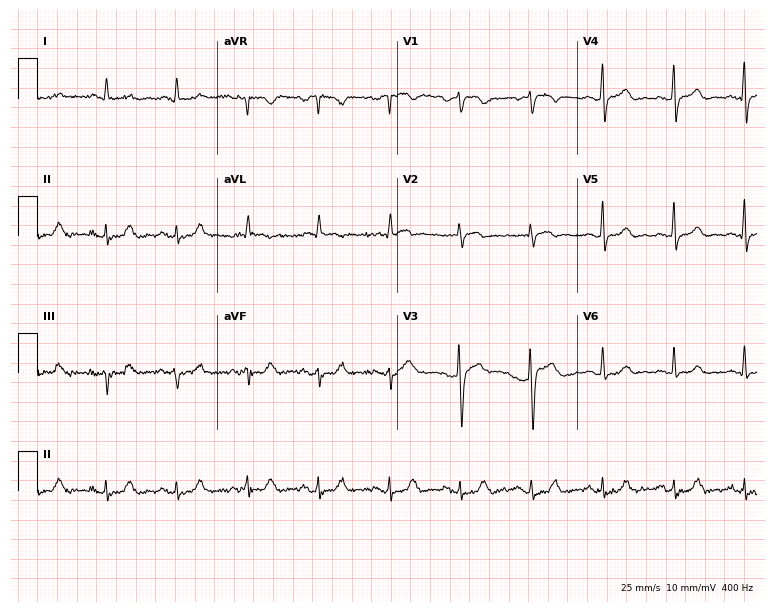
ECG — a 79-year-old woman. Screened for six findings — first-degree AV block, right bundle branch block, left bundle branch block, sinus bradycardia, atrial fibrillation, sinus tachycardia — none is recorded.